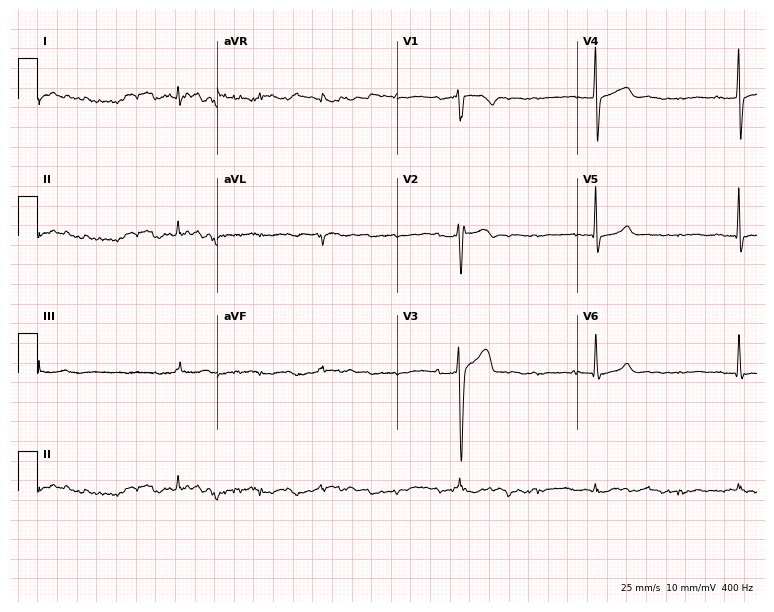
Standard 12-lead ECG recorded from a male, 31 years old (7.3-second recording at 400 Hz). None of these six findings is recorded: first-degree AV block, right bundle branch block, left bundle branch block, sinus bradycardia, atrial fibrillation, sinus tachycardia.